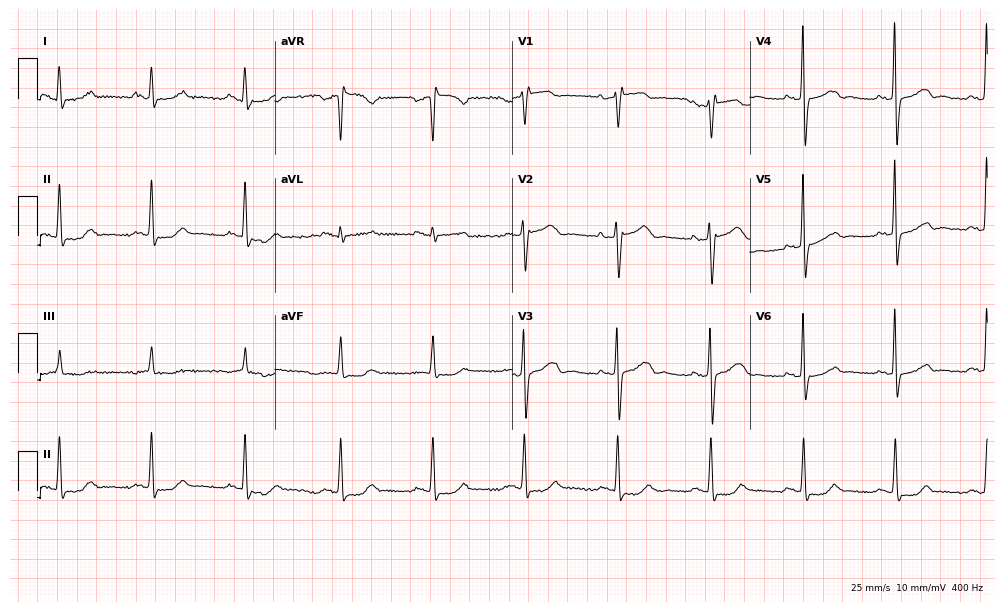
Resting 12-lead electrocardiogram (9.7-second recording at 400 Hz). Patient: a female, 57 years old. None of these six findings is recorded: first-degree AV block, right bundle branch block, left bundle branch block, sinus bradycardia, atrial fibrillation, sinus tachycardia.